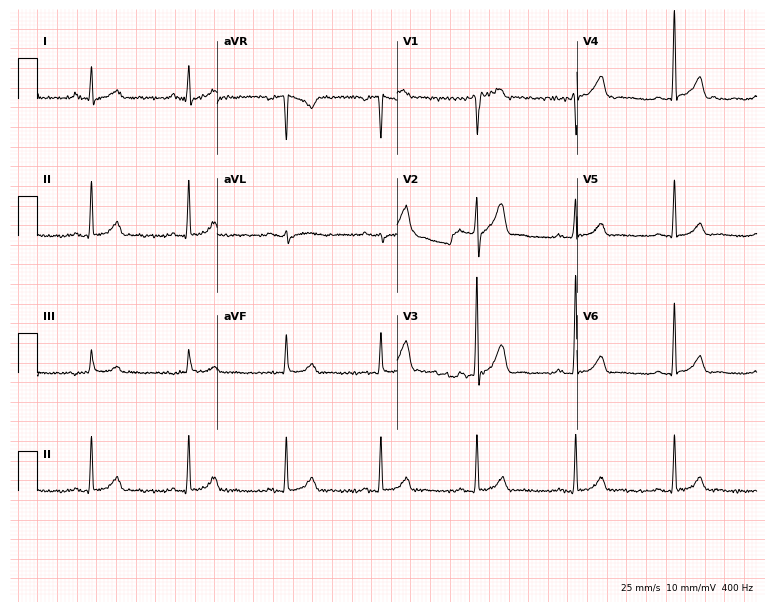
Electrocardiogram (7.3-second recording at 400 Hz), a 46-year-old male. Of the six screened findings (first-degree AV block, right bundle branch block, left bundle branch block, sinus bradycardia, atrial fibrillation, sinus tachycardia), none is recorded.